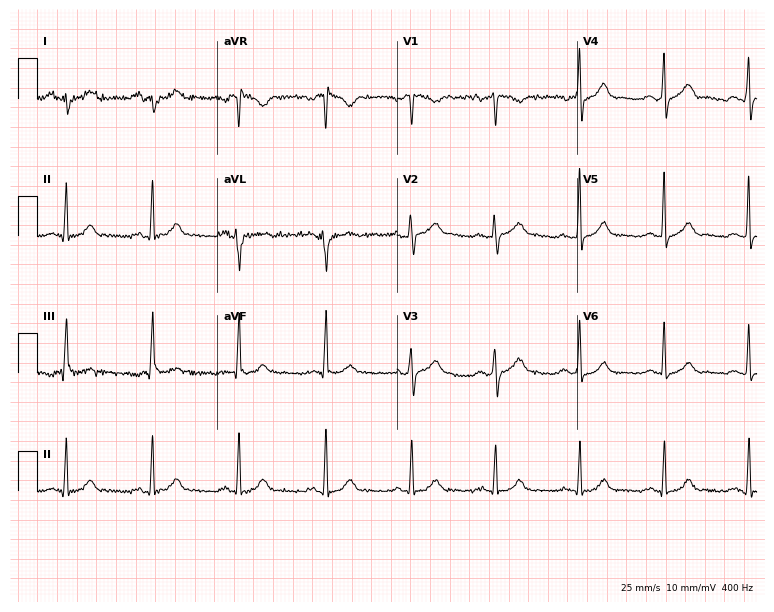
Standard 12-lead ECG recorded from a male, 43 years old (7.3-second recording at 400 Hz). Read as a normal ECG.